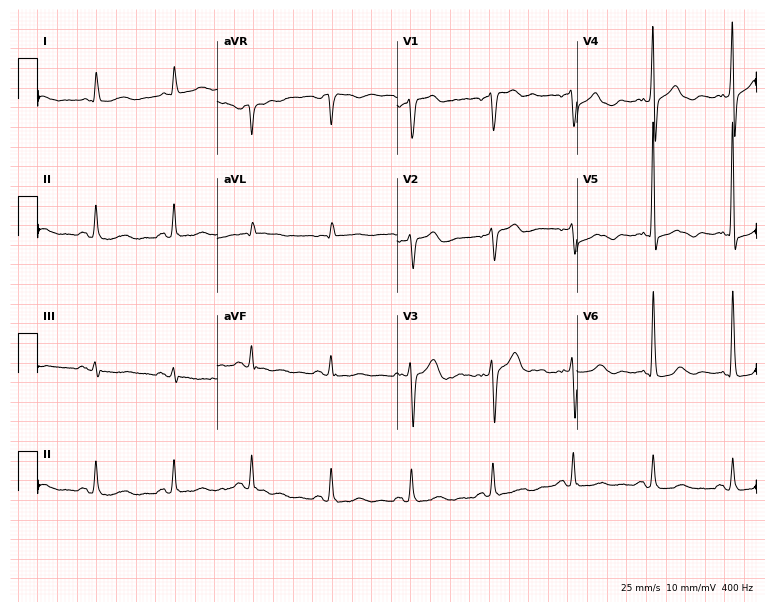
Standard 12-lead ECG recorded from a male, 68 years old (7.3-second recording at 400 Hz). None of these six findings is recorded: first-degree AV block, right bundle branch block, left bundle branch block, sinus bradycardia, atrial fibrillation, sinus tachycardia.